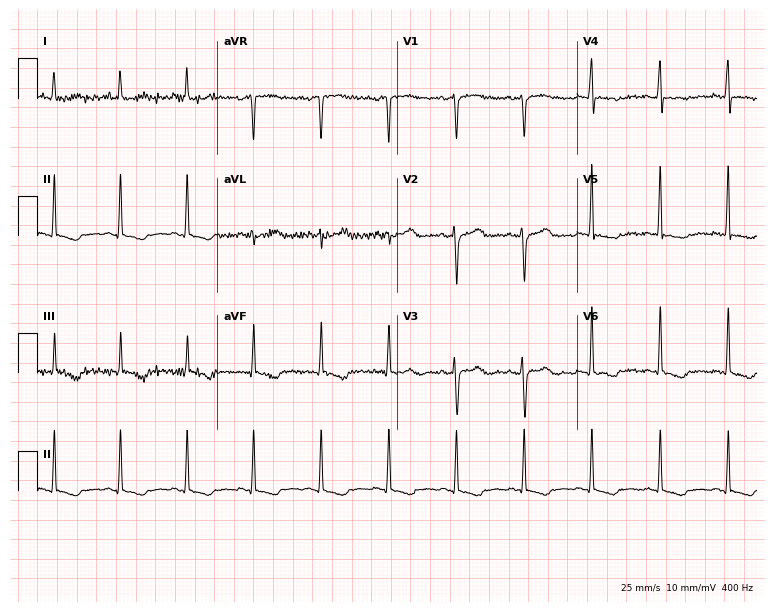
Resting 12-lead electrocardiogram (7.3-second recording at 400 Hz). Patient: a 37-year-old female. None of these six findings is recorded: first-degree AV block, right bundle branch block, left bundle branch block, sinus bradycardia, atrial fibrillation, sinus tachycardia. Other findings, if any, are not listed.